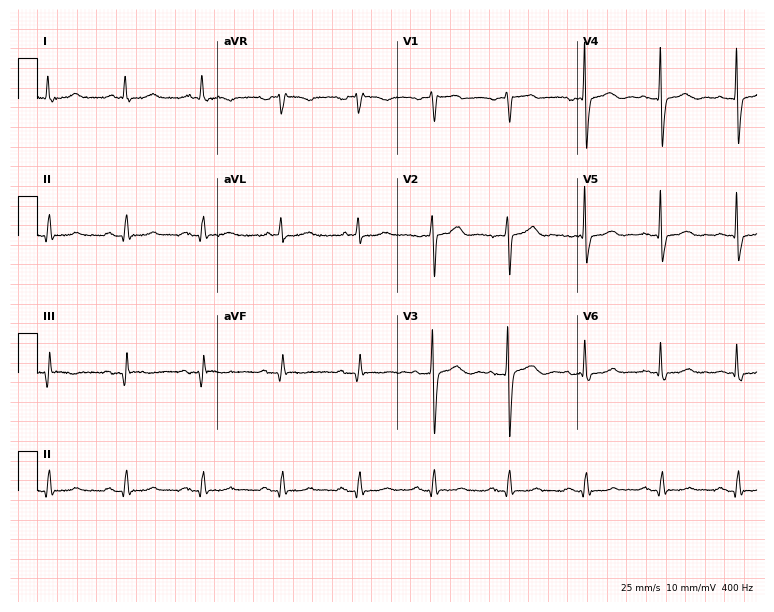
Electrocardiogram, a female patient, 53 years old. Of the six screened findings (first-degree AV block, right bundle branch block, left bundle branch block, sinus bradycardia, atrial fibrillation, sinus tachycardia), none is recorded. Only these six findings were labelled.